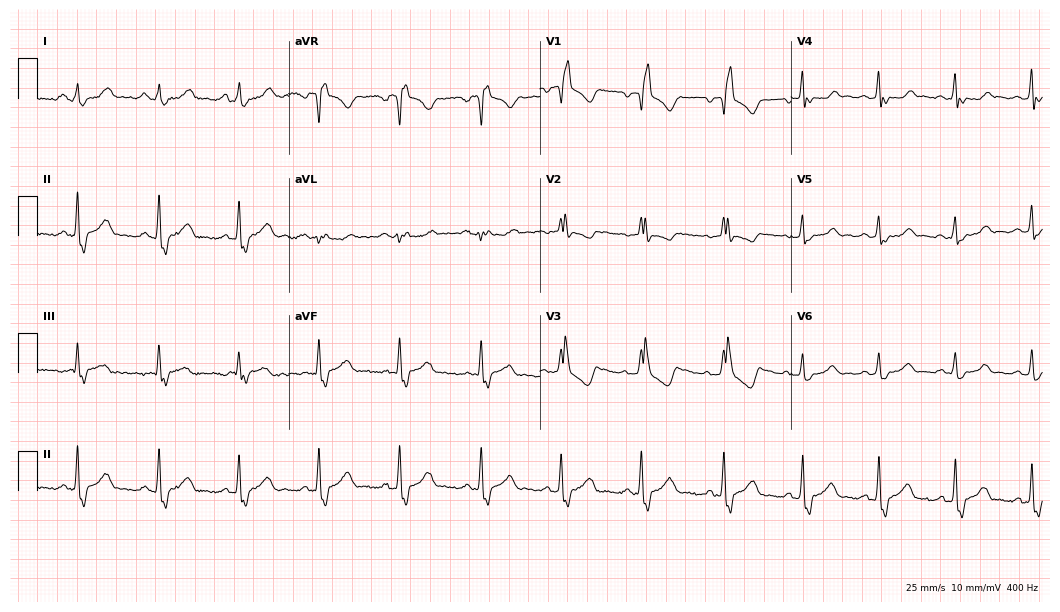
Standard 12-lead ECG recorded from a woman, 58 years old. The tracing shows right bundle branch block (RBBB).